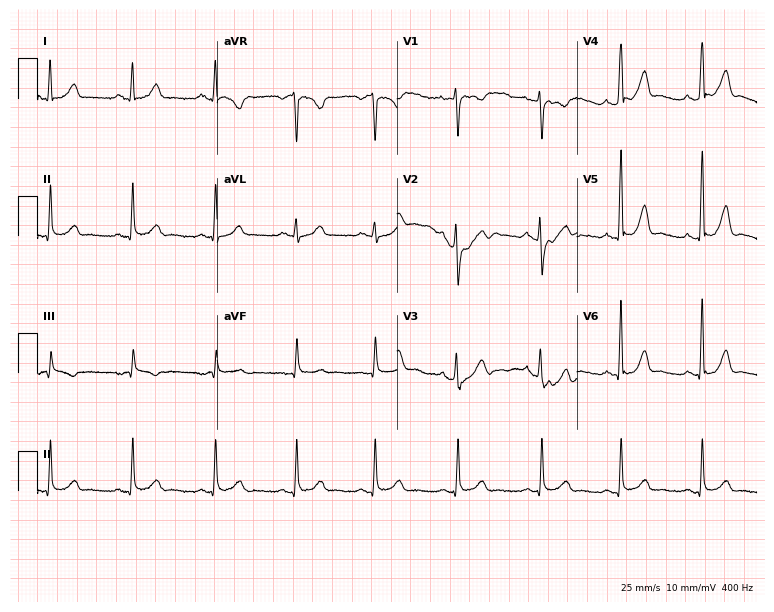
Standard 12-lead ECG recorded from a 34-year-old female patient (7.3-second recording at 400 Hz). Read as a normal ECG.